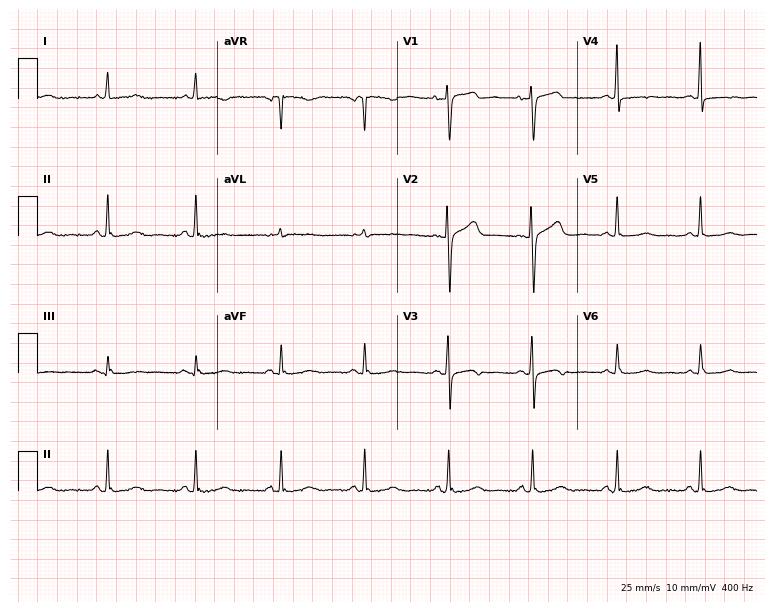
Electrocardiogram (7.3-second recording at 400 Hz), a 55-year-old woman. Of the six screened findings (first-degree AV block, right bundle branch block (RBBB), left bundle branch block (LBBB), sinus bradycardia, atrial fibrillation (AF), sinus tachycardia), none is recorded. Other findings, if any, are not listed.